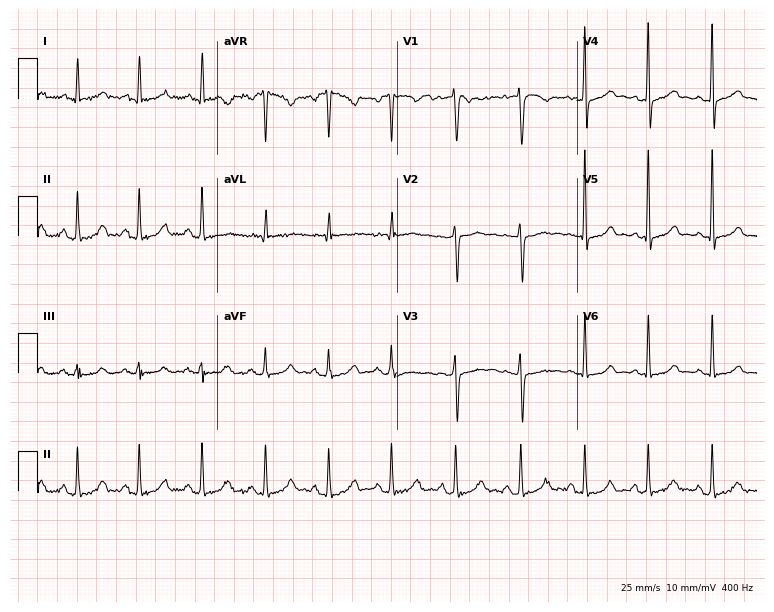
Resting 12-lead electrocardiogram. Patient: a 48-year-old woman. None of these six findings is recorded: first-degree AV block, right bundle branch block, left bundle branch block, sinus bradycardia, atrial fibrillation, sinus tachycardia.